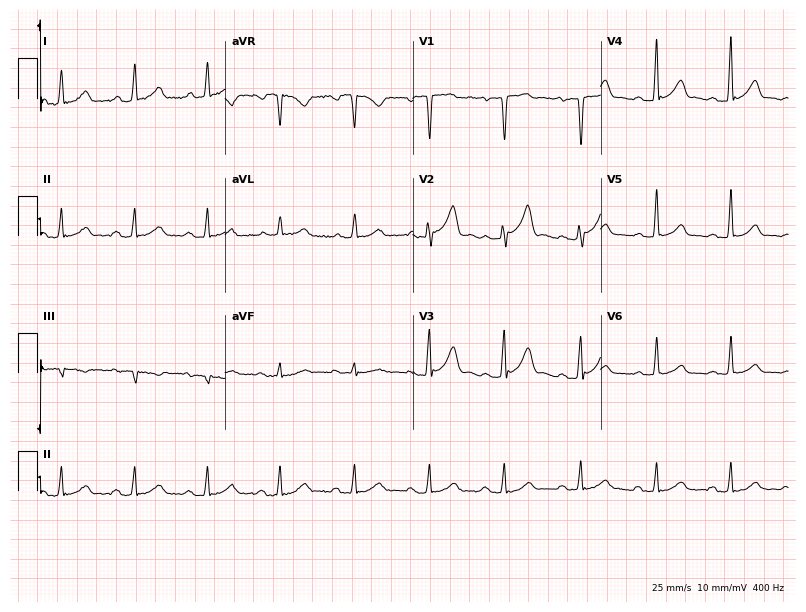
ECG — a 36-year-old male patient. Labelled as a normal ECG.